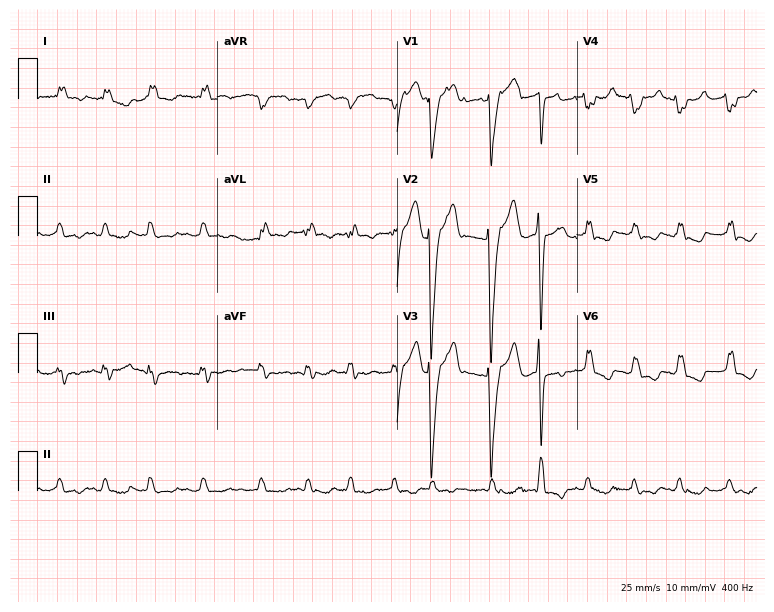
Electrocardiogram (7.3-second recording at 400 Hz), a female, 75 years old. Interpretation includes left bundle branch block, atrial fibrillation.